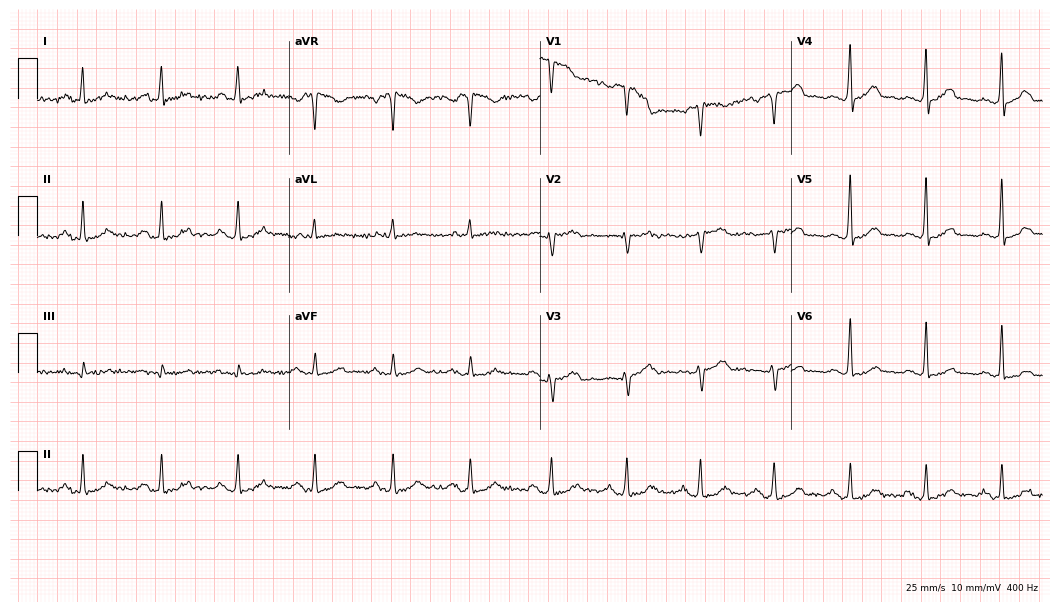
12-lead ECG from a 51-year-old woman. Recorded interpretation: within normal limits.